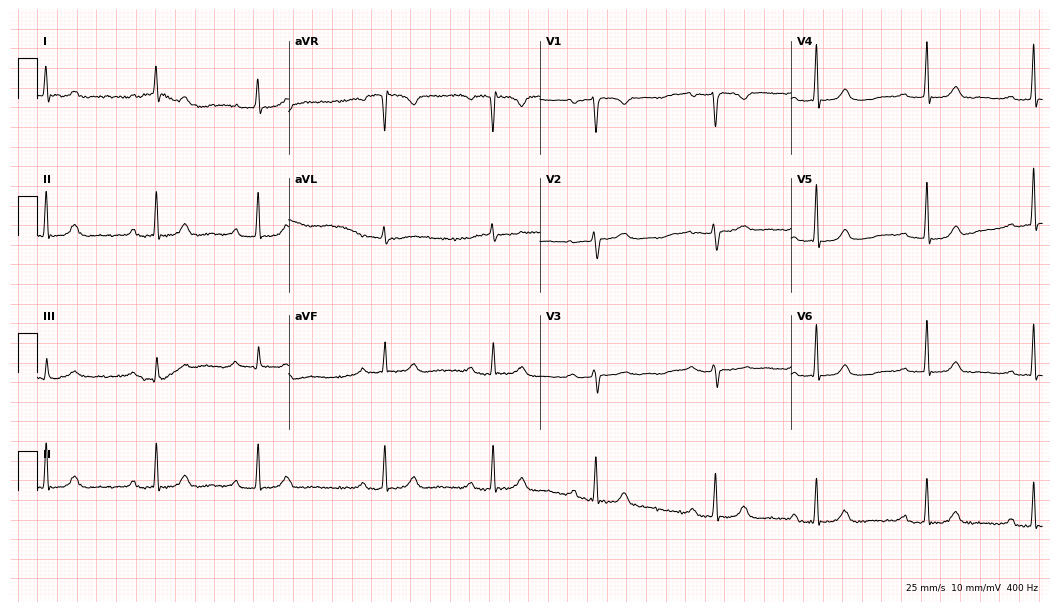
Resting 12-lead electrocardiogram (10.2-second recording at 400 Hz). Patient: a 49-year-old female. The tracing shows first-degree AV block.